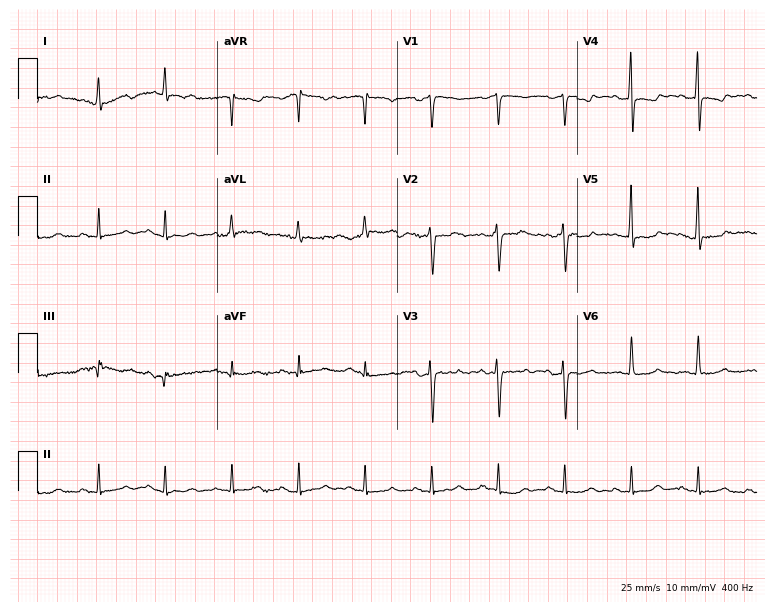
Electrocardiogram (7.3-second recording at 400 Hz), a 71-year-old female patient. Of the six screened findings (first-degree AV block, right bundle branch block, left bundle branch block, sinus bradycardia, atrial fibrillation, sinus tachycardia), none is recorded. Only these six findings were labelled.